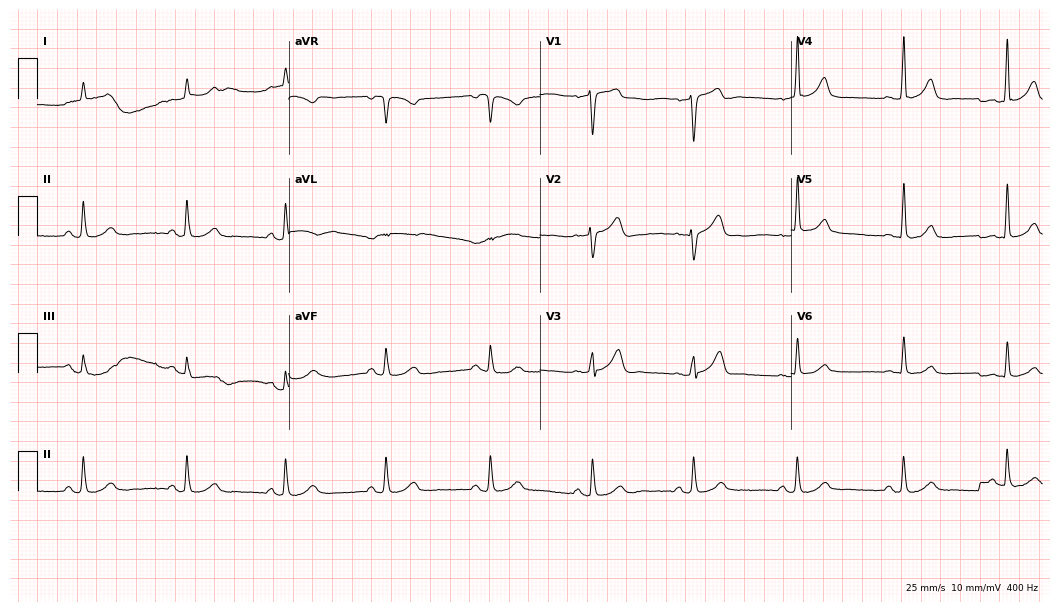
ECG — a man, 67 years old. Screened for six findings — first-degree AV block, right bundle branch block, left bundle branch block, sinus bradycardia, atrial fibrillation, sinus tachycardia — none is recorded.